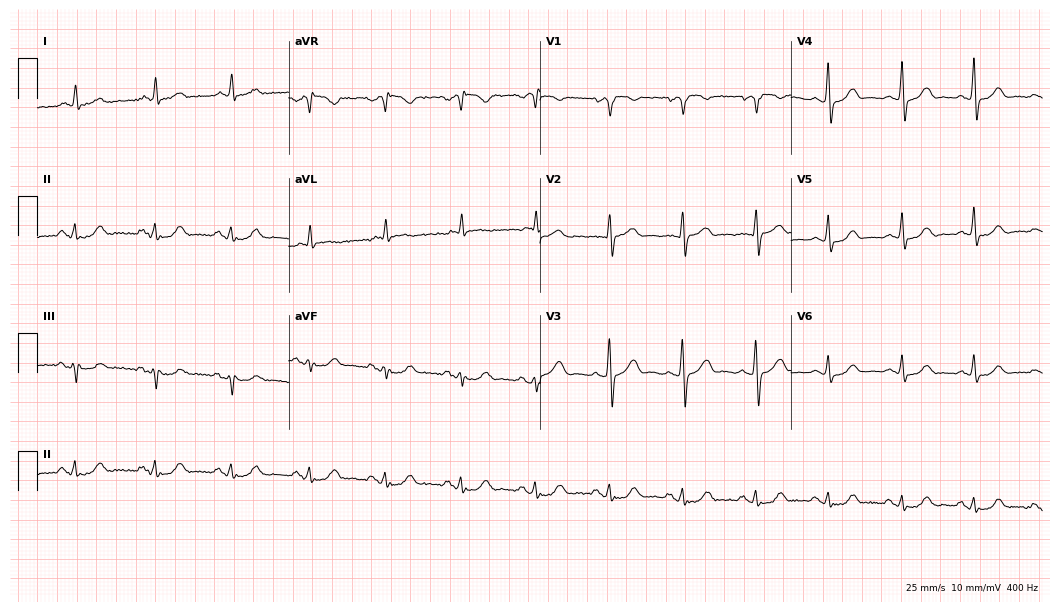
ECG — an 83-year-old woman. Screened for six findings — first-degree AV block, right bundle branch block, left bundle branch block, sinus bradycardia, atrial fibrillation, sinus tachycardia — none is recorded.